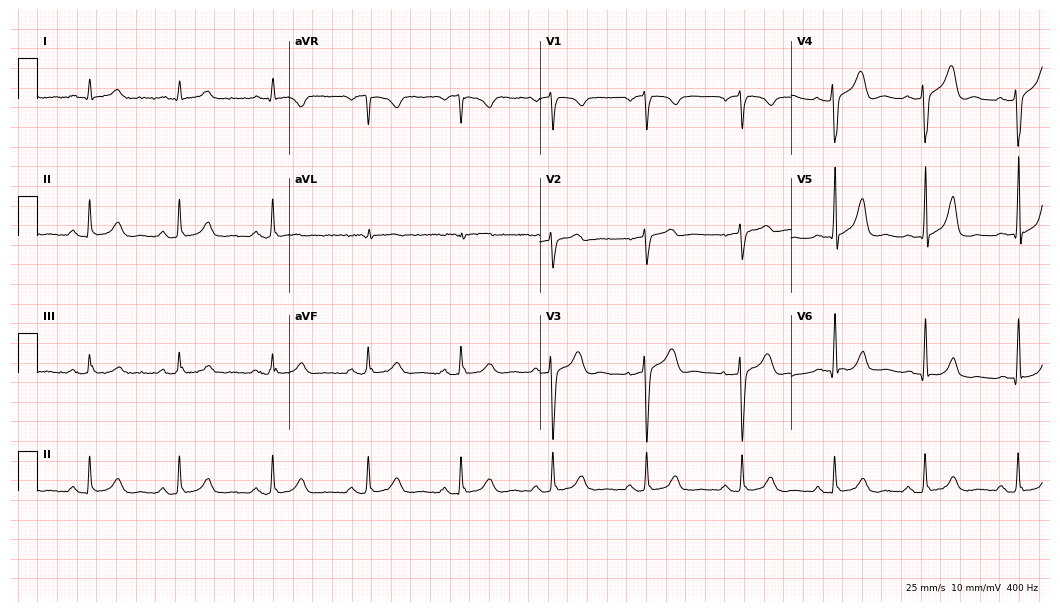
12-lead ECG (10.2-second recording at 400 Hz) from a female patient, 61 years old. Screened for six findings — first-degree AV block, right bundle branch block, left bundle branch block, sinus bradycardia, atrial fibrillation, sinus tachycardia — none is recorded. Other findings, if any, are not listed.